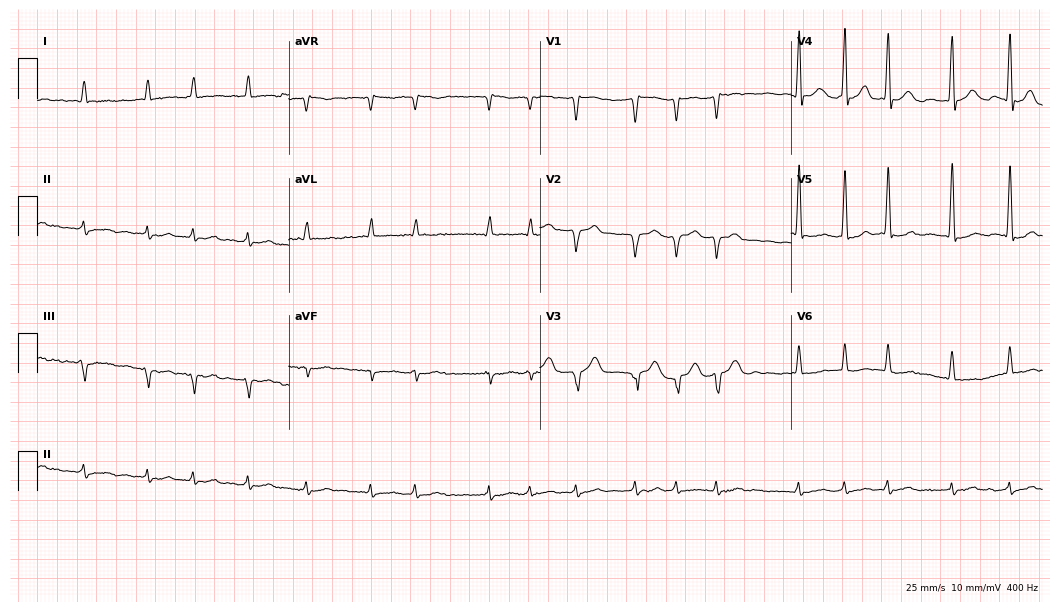
12-lead ECG (10.2-second recording at 400 Hz) from an 84-year-old male. Findings include atrial fibrillation.